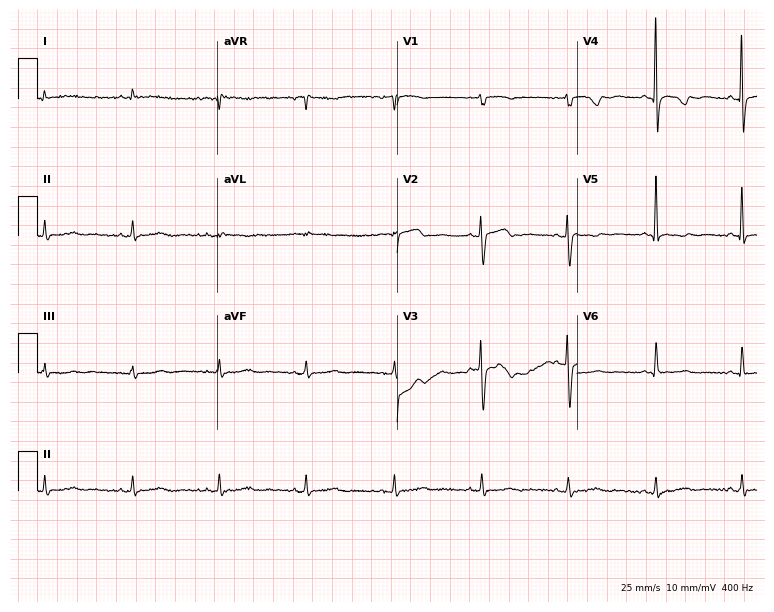
12-lead ECG from a 57-year-old female. No first-degree AV block, right bundle branch block, left bundle branch block, sinus bradycardia, atrial fibrillation or sinus tachycardia recorded for this tracing. Findings outside these six are not listed.